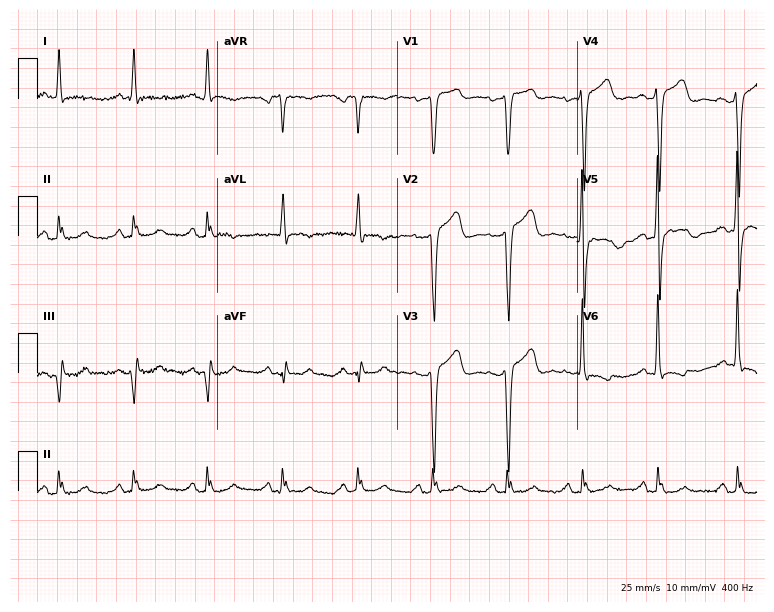
Electrocardiogram (7.3-second recording at 400 Hz), a 68-year-old female patient. Of the six screened findings (first-degree AV block, right bundle branch block, left bundle branch block, sinus bradycardia, atrial fibrillation, sinus tachycardia), none is recorded. Other findings, if any, are not listed.